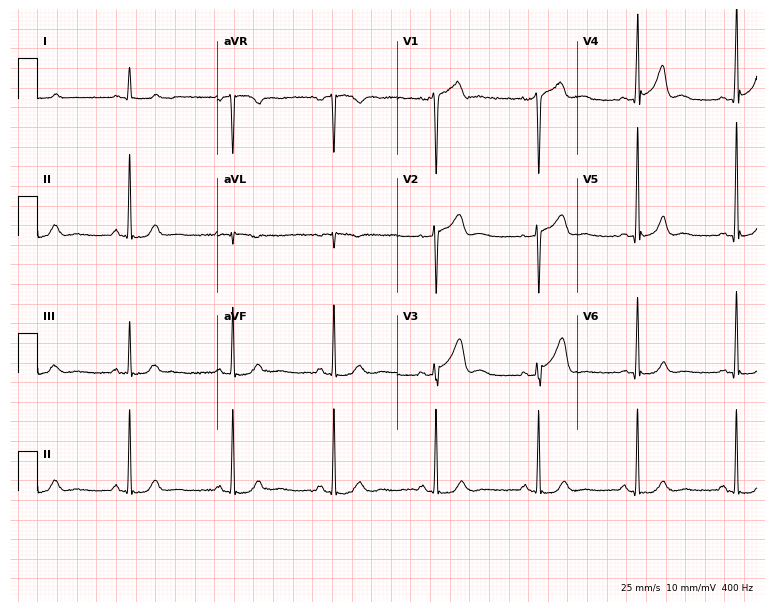
12-lead ECG from a male patient, 48 years old. No first-degree AV block, right bundle branch block (RBBB), left bundle branch block (LBBB), sinus bradycardia, atrial fibrillation (AF) or sinus tachycardia recorded for this tracing. Findings outside these six are not listed.